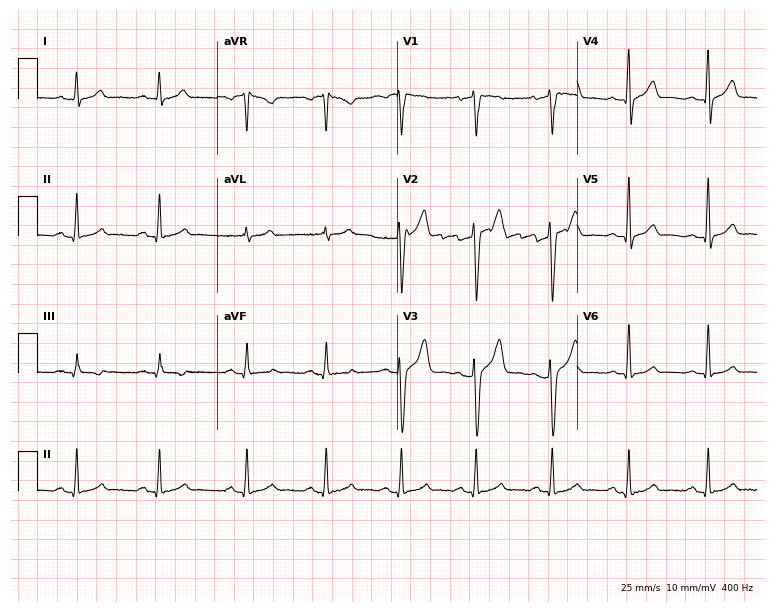
Electrocardiogram, a 37-year-old male. Overall reading on record: normal ECG.